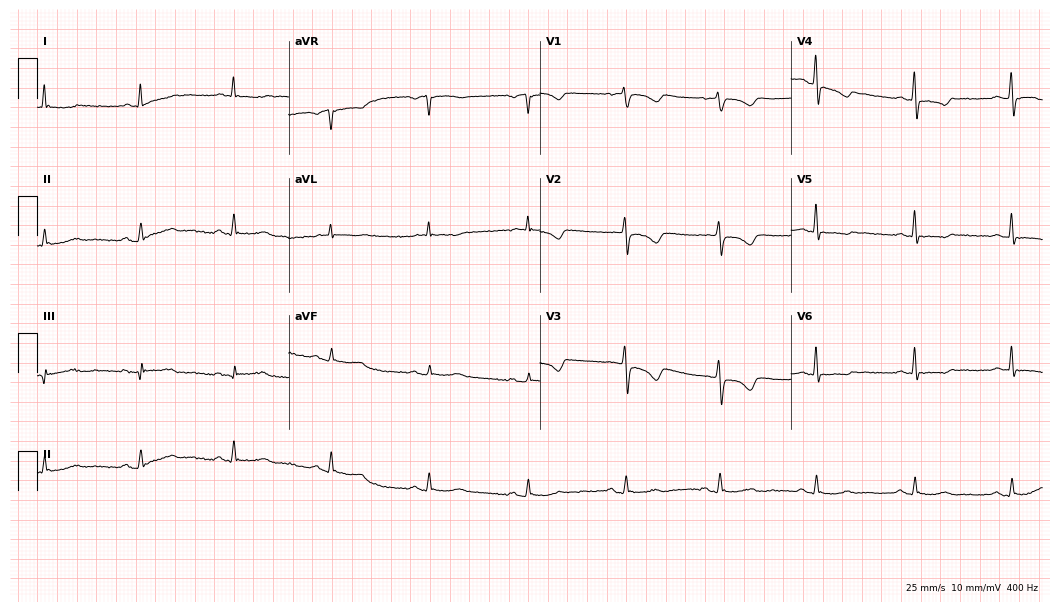
Electrocardiogram, a female, 73 years old. Of the six screened findings (first-degree AV block, right bundle branch block, left bundle branch block, sinus bradycardia, atrial fibrillation, sinus tachycardia), none is recorded. Other findings, if any, are not listed.